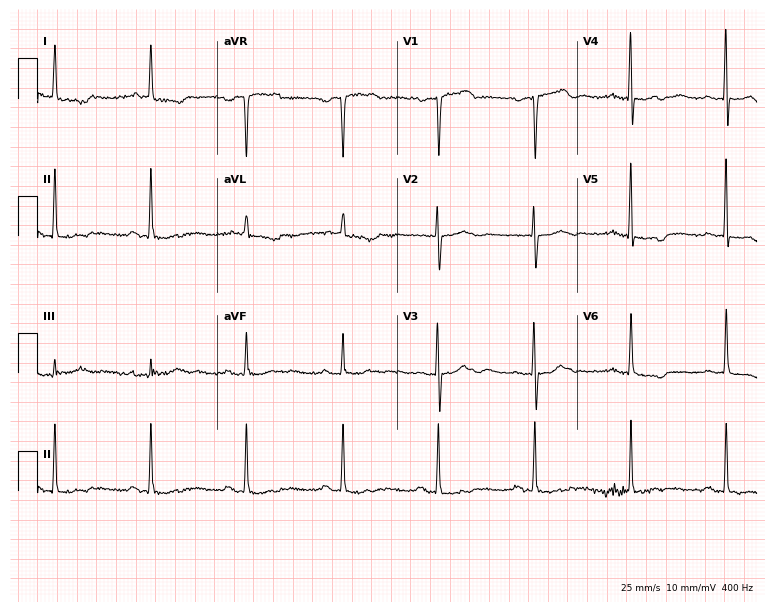
ECG (7.3-second recording at 400 Hz) — a female patient, 78 years old. Screened for six findings — first-degree AV block, right bundle branch block, left bundle branch block, sinus bradycardia, atrial fibrillation, sinus tachycardia — none is recorded.